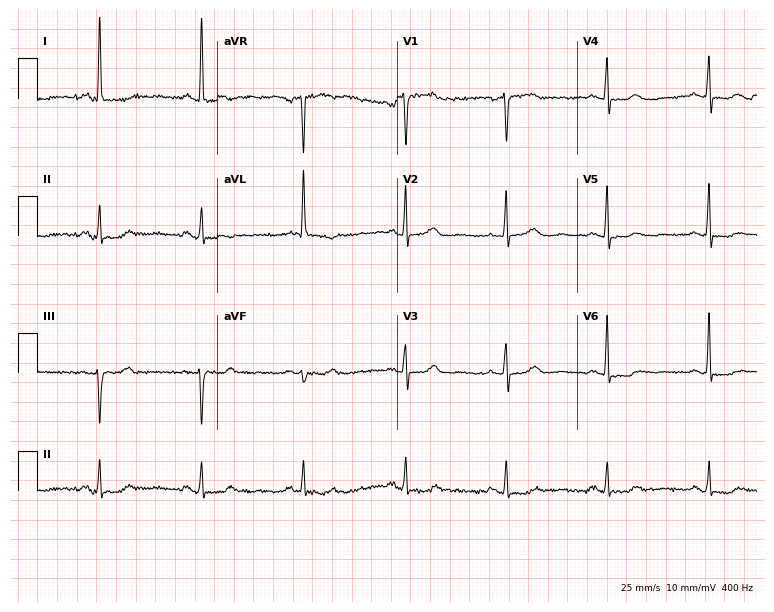
Electrocardiogram (7.3-second recording at 400 Hz), an 81-year-old woman. Of the six screened findings (first-degree AV block, right bundle branch block, left bundle branch block, sinus bradycardia, atrial fibrillation, sinus tachycardia), none is recorded.